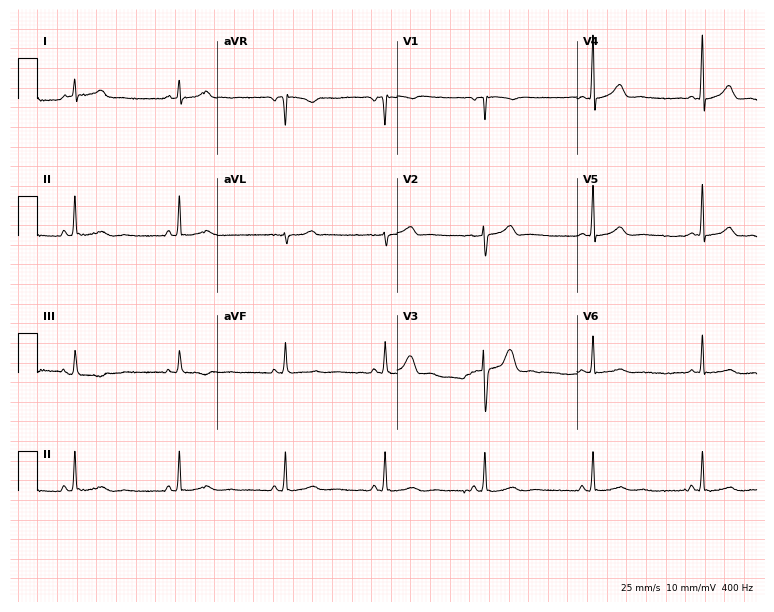
12-lead ECG (7.3-second recording at 400 Hz) from a 24-year-old female patient. Labelled as a normal ECG.